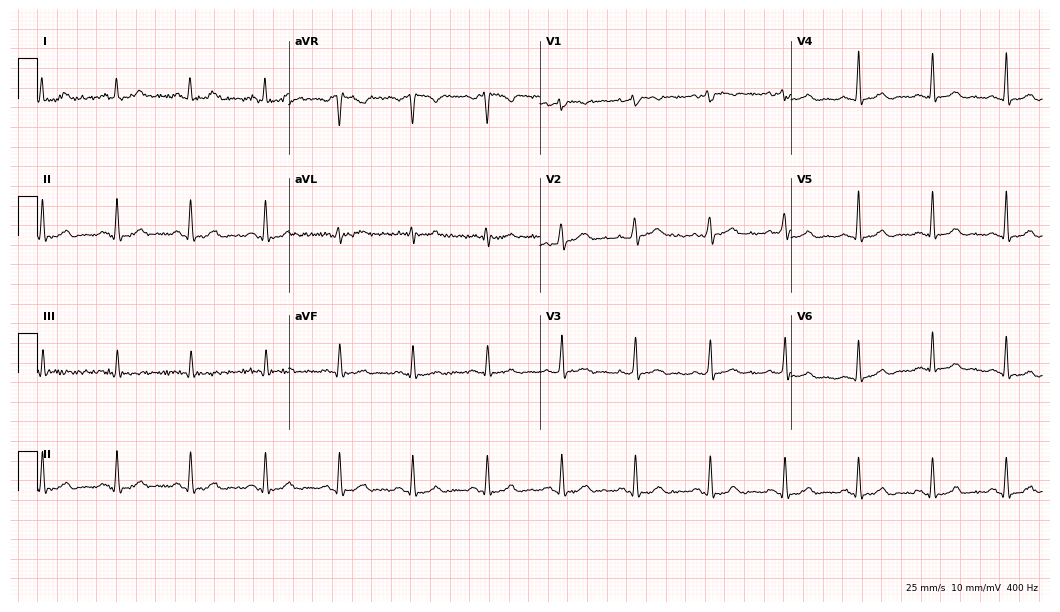
12-lead ECG (10.2-second recording at 400 Hz) from a 36-year-old woman. Labelled as a normal ECG.